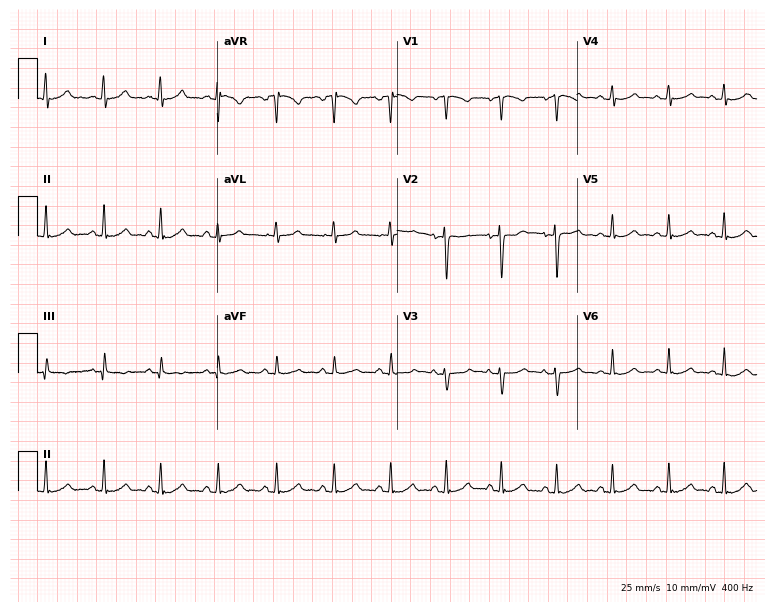
Electrocardiogram (7.3-second recording at 400 Hz), a 23-year-old female patient. Interpretation includes sinus tachycardia (a sinus rate of 100 beats per minute or more).